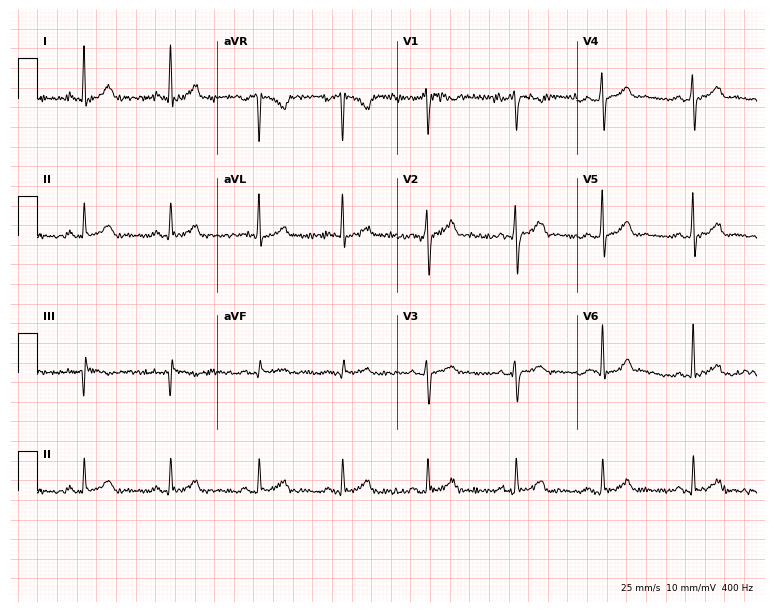
Standard 12-lead ECG recorded from a male, 32 years old (7.3-second recording at 400 Hz). Read as a normal ECG.